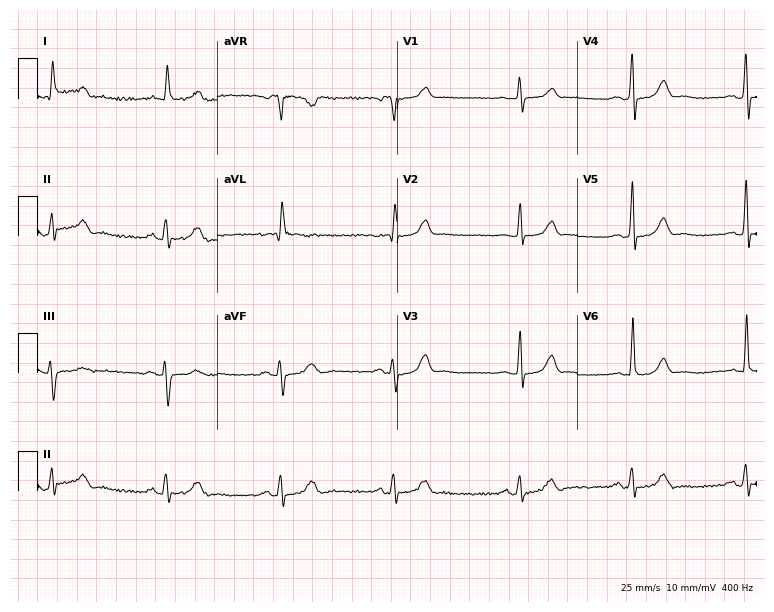
12-lead ECG (7.3-second recording at 400 Hz) from an 83-year-old female patient. Screened for six findings — first-degree AV block, right bundle branch block, left bundle branch block, sinus bradycardia, atrial fibrillation, sinus tachycardia — none is recorded.